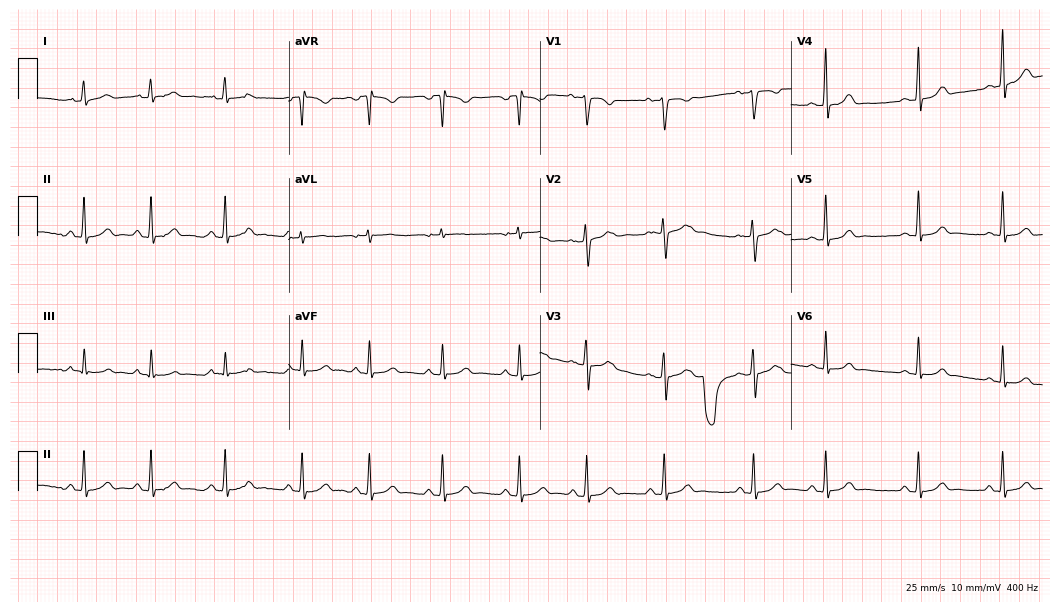
Standard 12-lead ECG recorded from a female patient, 20 years old (10.2-second recording at 400 Hz). Read as a normal ECG.